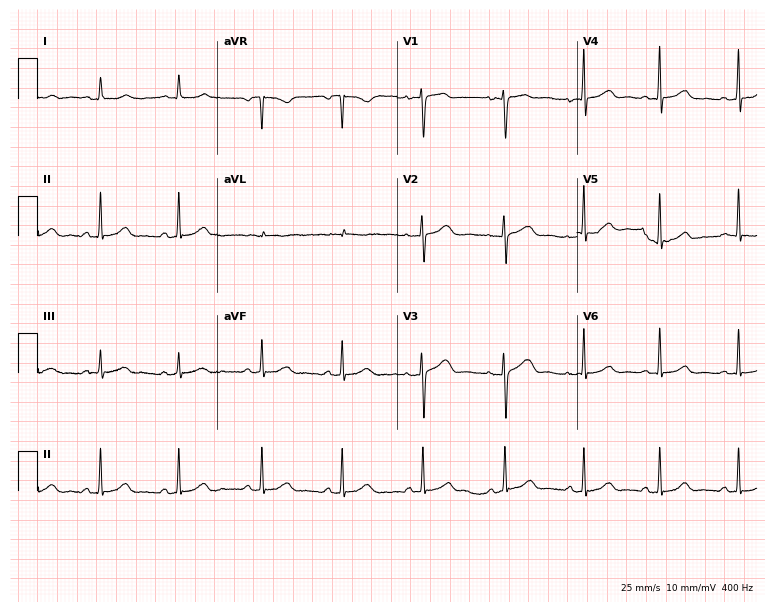
ECG — a 45-year-old female. Labelled as a normal ECG.